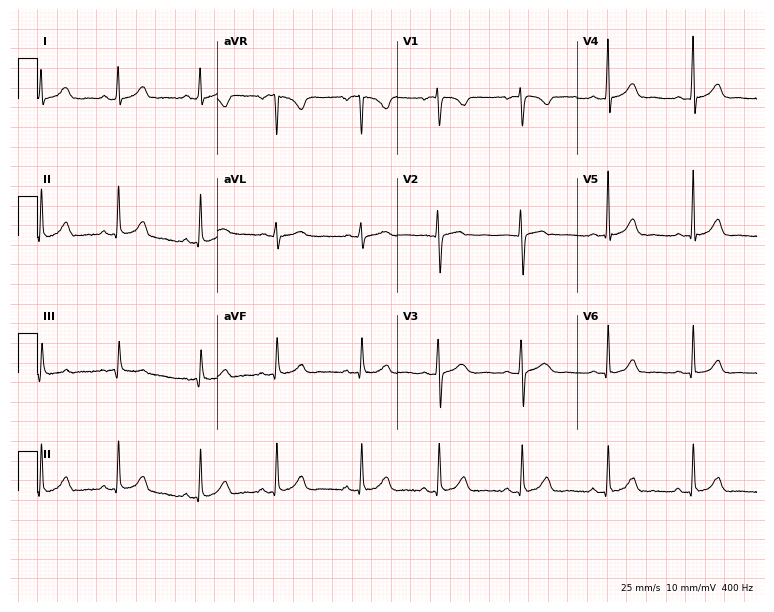
12-lead ECG from a woman, 27 years old (7.3-second recording at 400 Hz). Recorded interpretation: within normal limits.